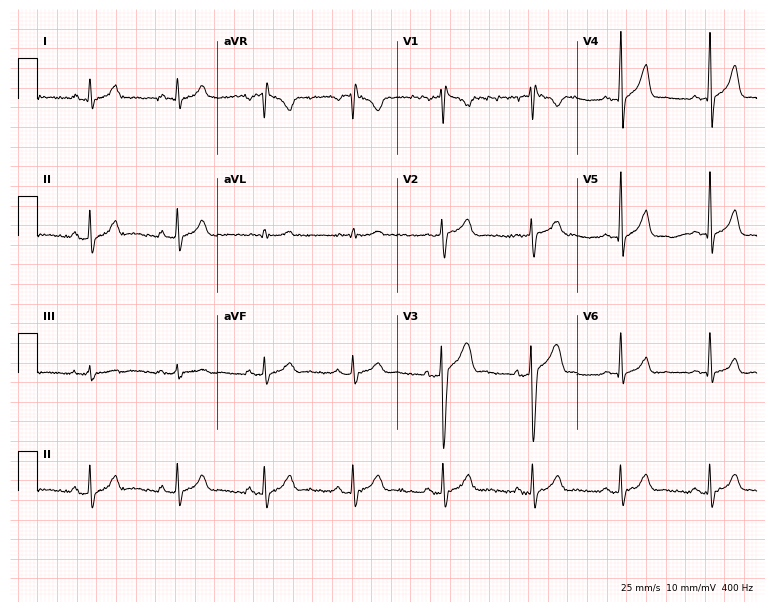
ECG — a 41-year-old male patient. Labelled as a normal ECG.